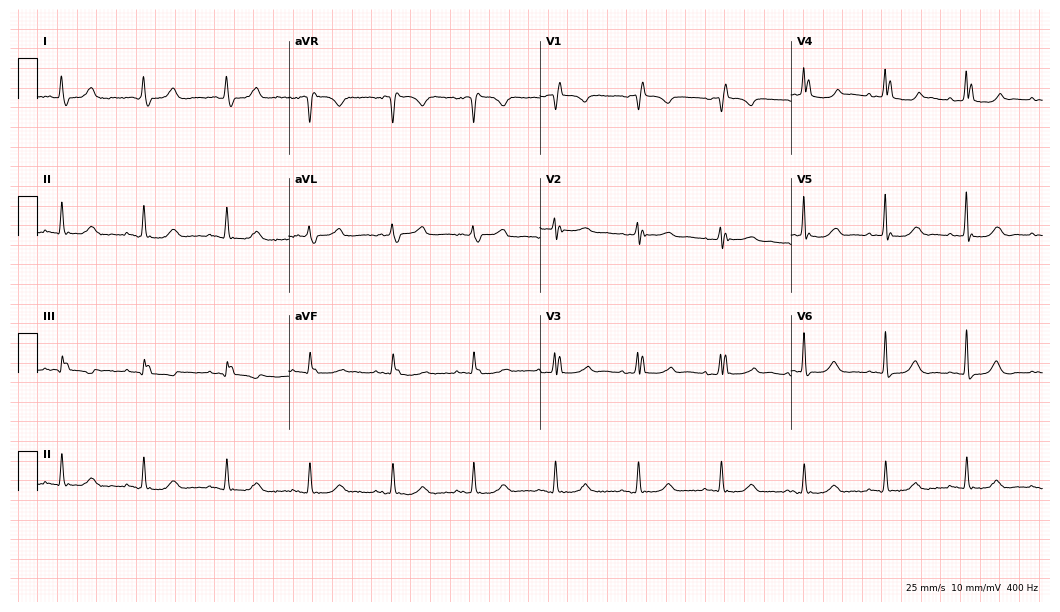
Electrocardiogram, a female patient, 83 years old. Of the six screened findings (first-degree AV block, right bundle branch block, left bundle branch block, sinus bradycardia, atrial fibrillation, sinus tachycardia), none is recorded. Only these six findings were labelled.